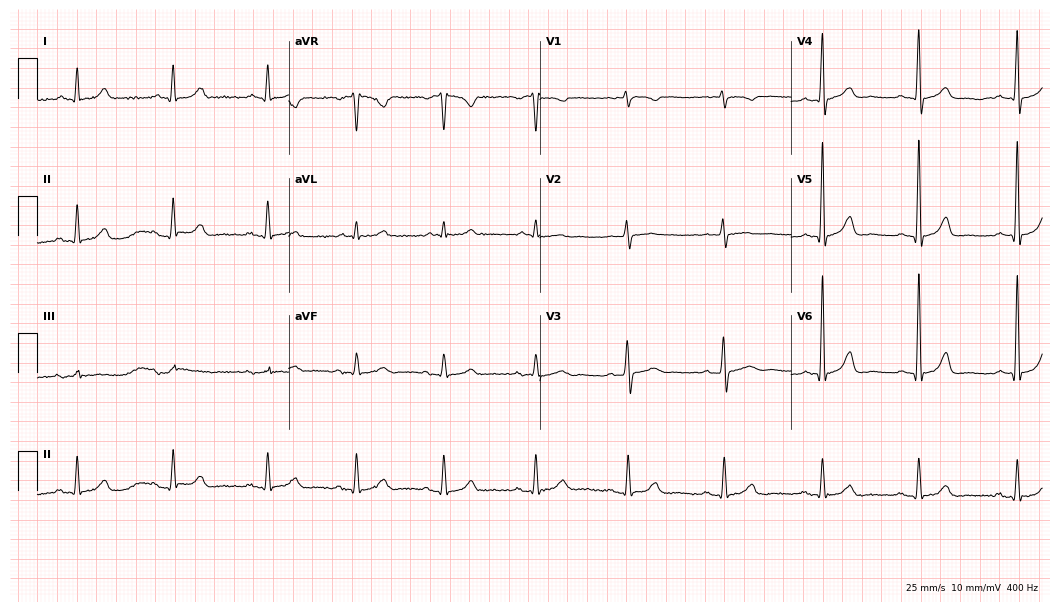
ECG — a male, 83 years old. Labelled as a normal ECG.